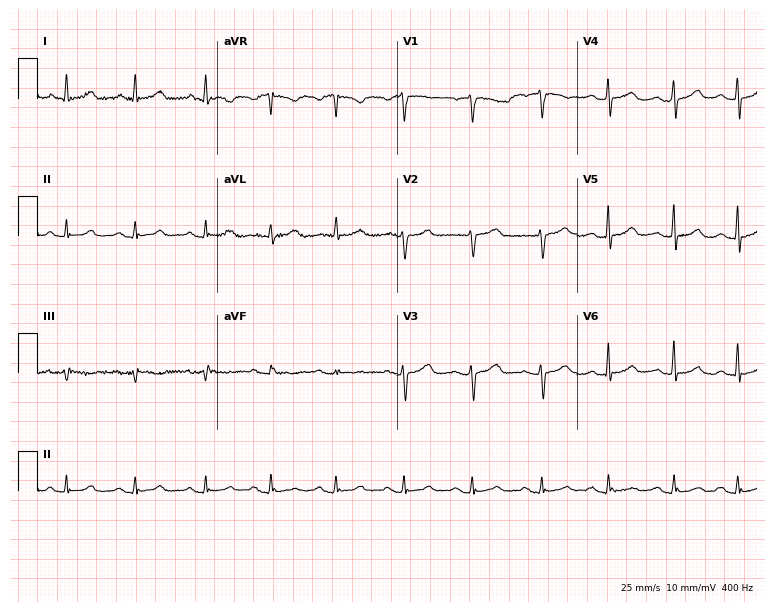
Resting 12-lead electrocardiogram. Patient: a 65-year-old woman. Read as a normal ECG.